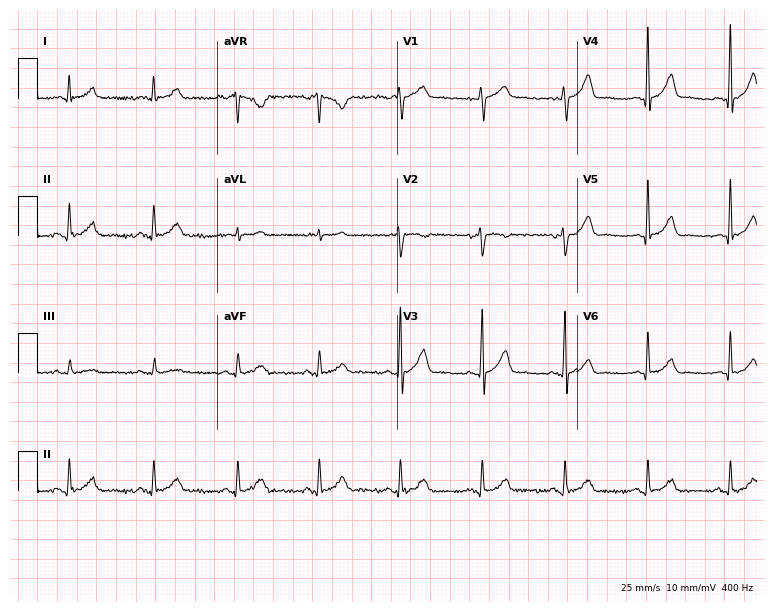
Resting 12-lead electrocardiogram. Patient: a 49-year-old male. Read as a normal ECG.